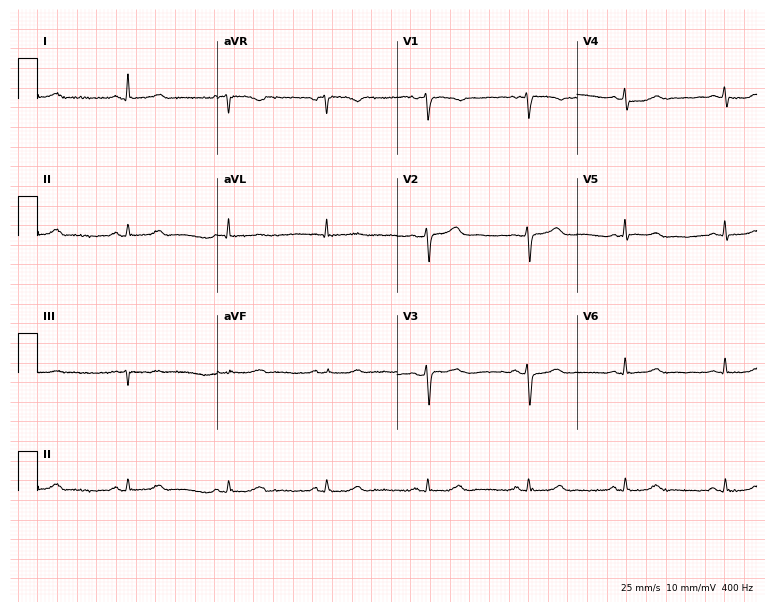
Resting 12-lead electrocardiogram (7.3-second recording at 400 Hz). Patient: a 50-year-old woman. None of these six findings is recorded: first-degree AV block, right bundle branch block, left bundle branch block, sinus bradycardia, atrial fibrillation, sinus tachycardia. Other findings, if any, are not listed.